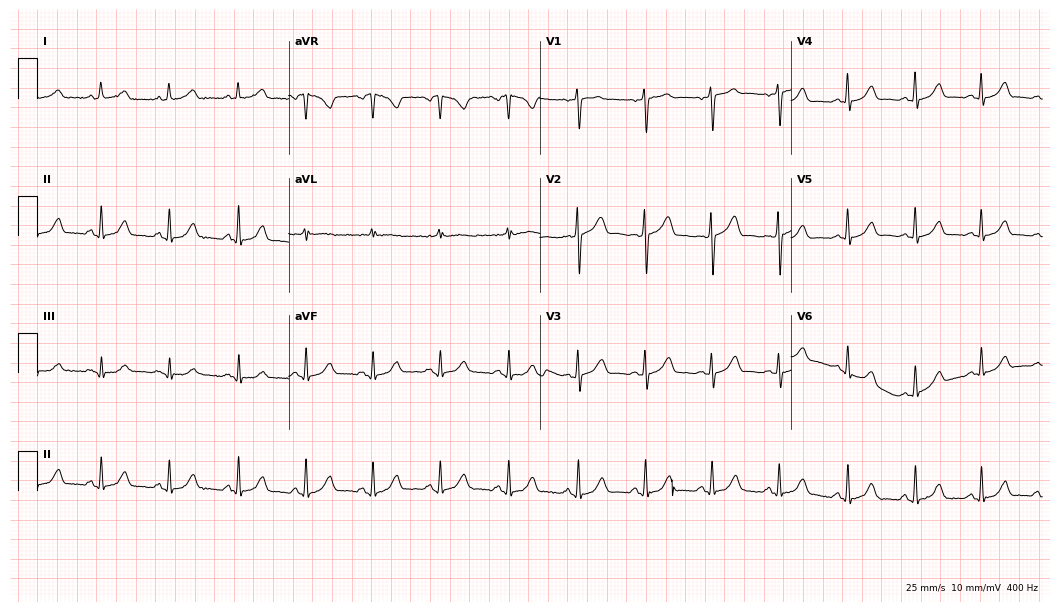
Standard 12-lead ECG recorded from a female patient, 80 years old. Read as a normal ECG.